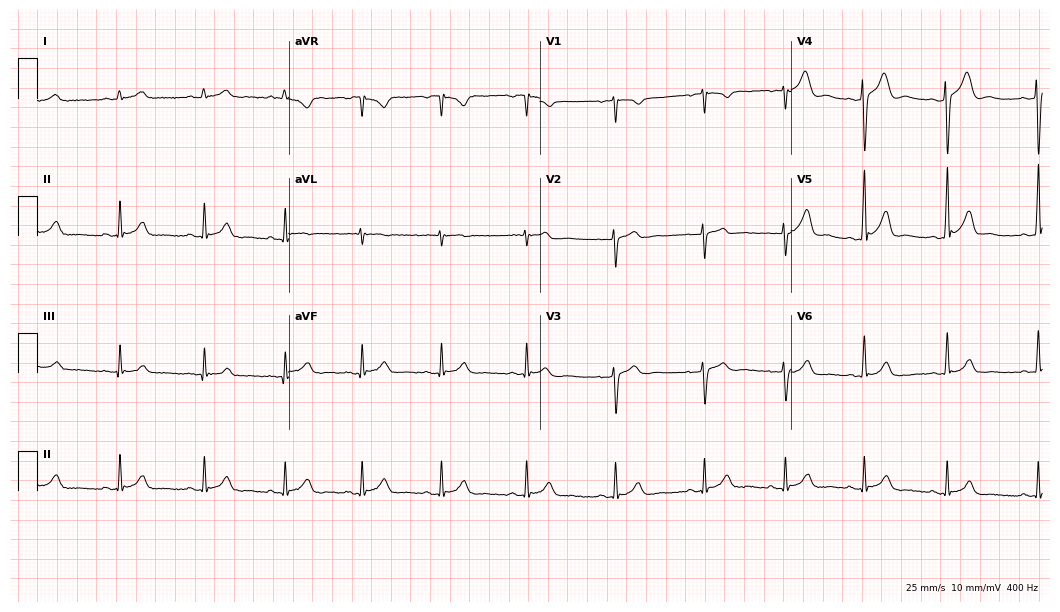
12-lead ECG from a male, 24 years old. Recorded interpretation: within normal limits.